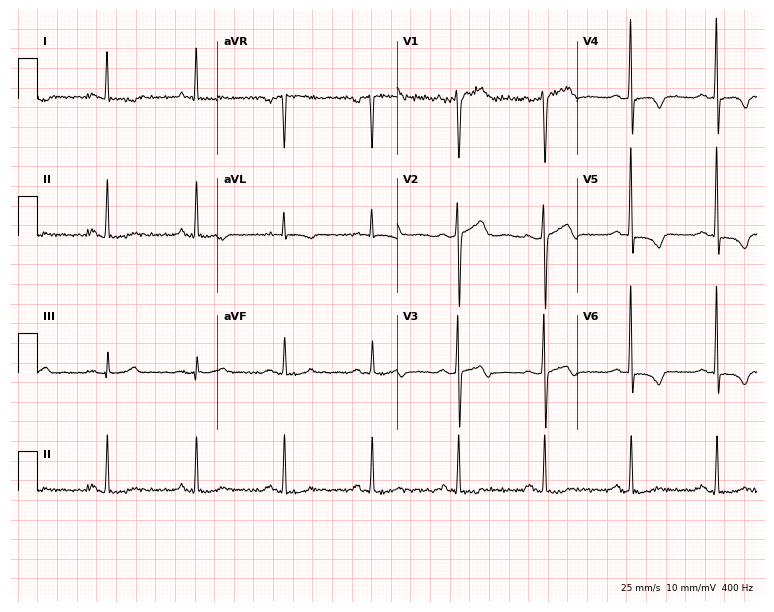
Resting 12-lead electrocardiogram (7.3-second recording at 400 Hz). Patient: a 61-year-old man. Read as a normal ECG.